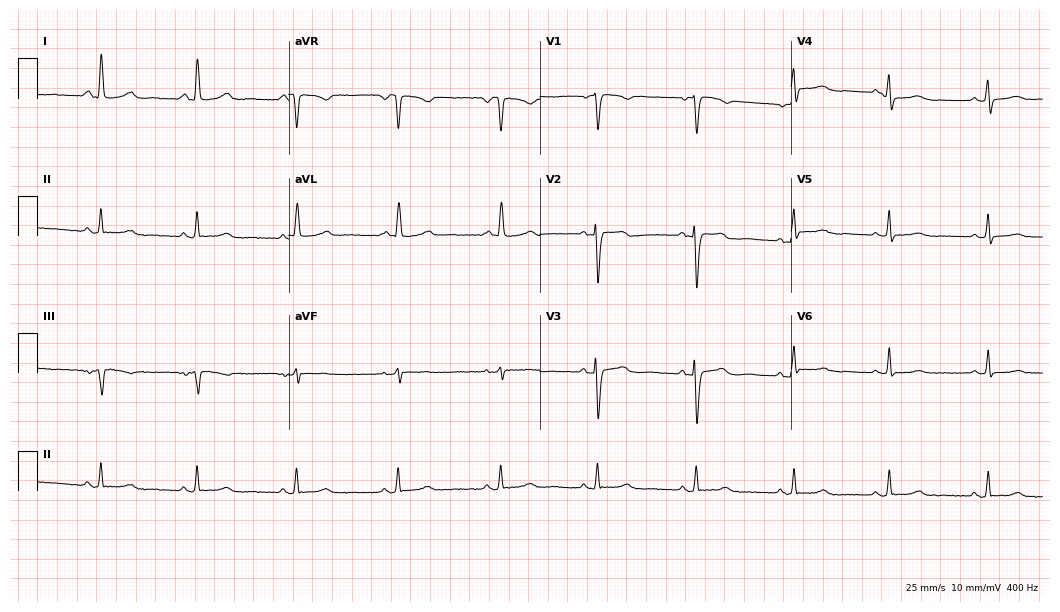
Electrocardiogram (10.2-second recording at 400 Hz), a female, 54 years old. Of the six screened findings (first-degree AV block, right bundle branch block, left bundle branch block, sinus bradycardia, atrial fibrillation, sinus tachycardia), none is recorded. Findings outside these six are not listed.